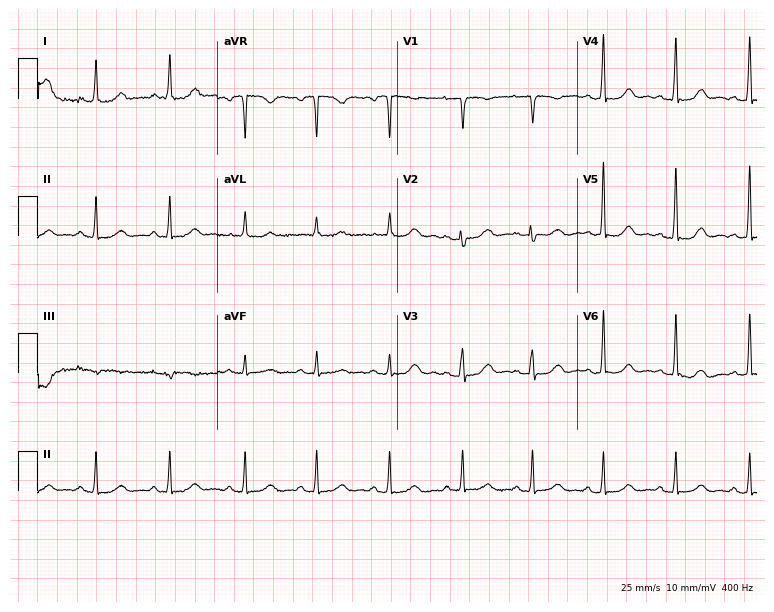
Electrocardiogram, a 48-year-old woman. Overall reading on record: normal ECG.